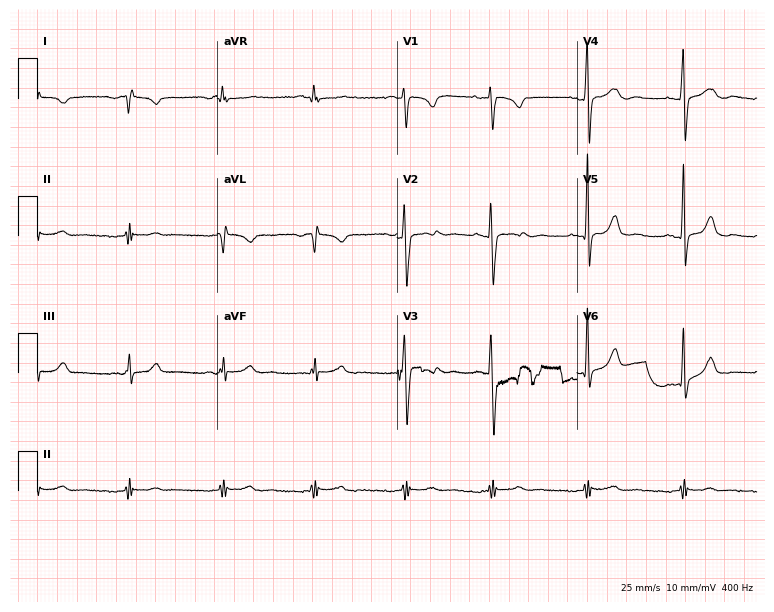
Resting 12-lead electrocardiogram. Patient: a 31-year-old female. None of these six findings is recorded: first-degree AV block, right bundle branch block, left bundle branch block, sinus bradycardia, atrial fibrillation, sinus tachycardia. Findings outside these six are not listed.